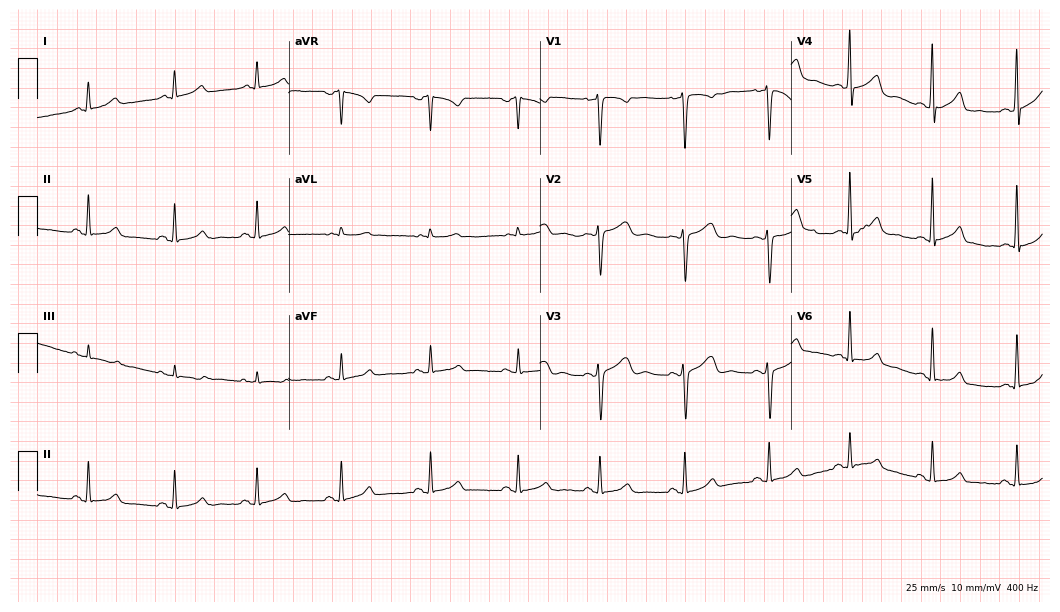
Resting 12-lead electrocardiogram. Patient: a 30-year-old female. Read as a normal ECG.